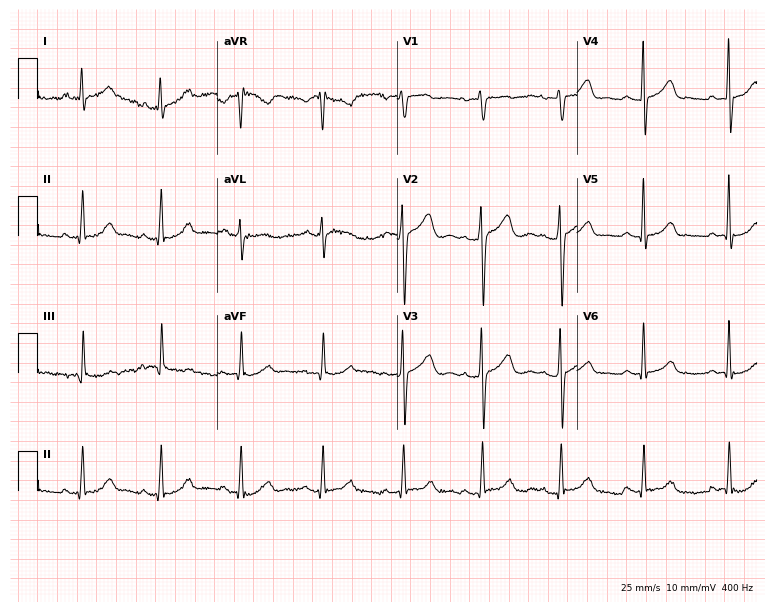
Standard 12-lead ECG recorded from a woman, 31 years old. None of these six findings is recorded: first-degree AV block, right bundle branch block, left bundle branch block, sinus bradycardia, atrial fibrillation, sinus tachycardia.